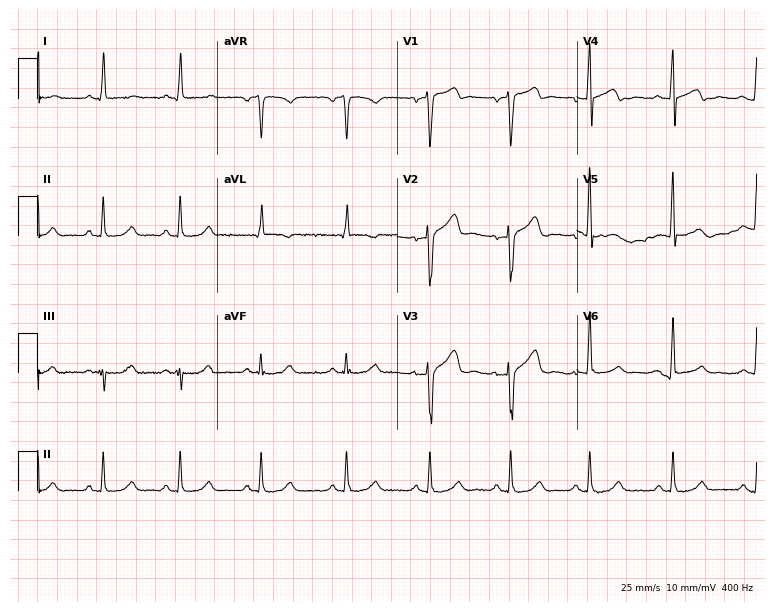
Resting 12-lead electrocardiogram. Patient: a 50-year-old man. Read as a normal ECG.